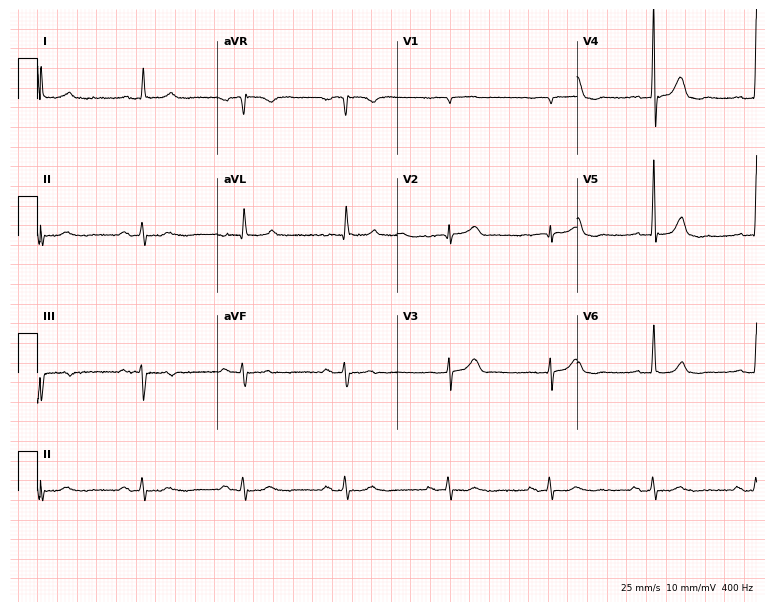
Electrocardiogram (7.3-second recording at 400 Hz), a 78-year-old man. Overall reading on record: normal ECG.